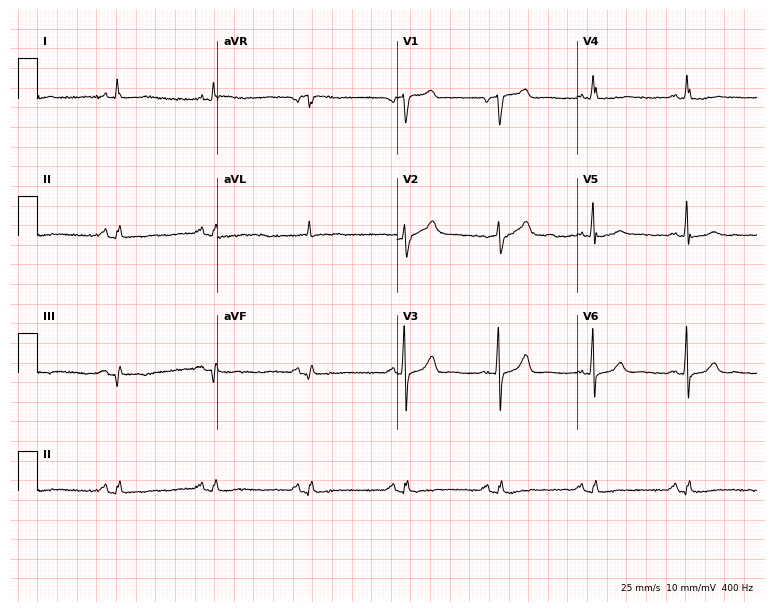
12-lead ECG from a 29-year-old female patient (7.3-second recording at 400 Hz). No first-degree AV block, right bundle branch block, left bundle branch block, sinus bradycardia, atrial fibrillation or sinus tachycardia recorded for this tracing.